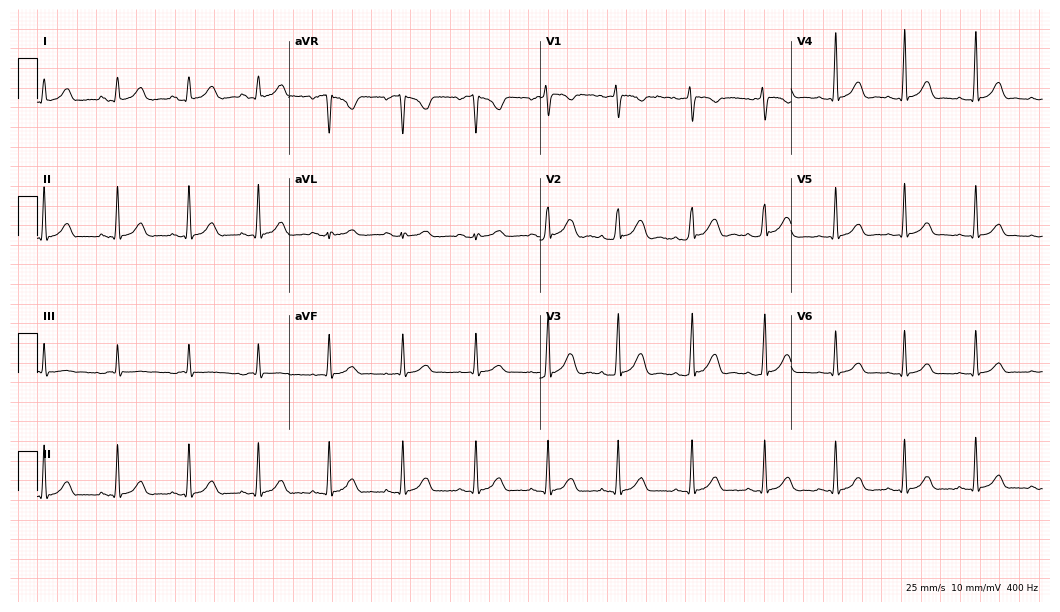
12-lead ECG (10.2-second recording at 400 Hz) from a woman, 18 years old. Labelled as a normal ECG.